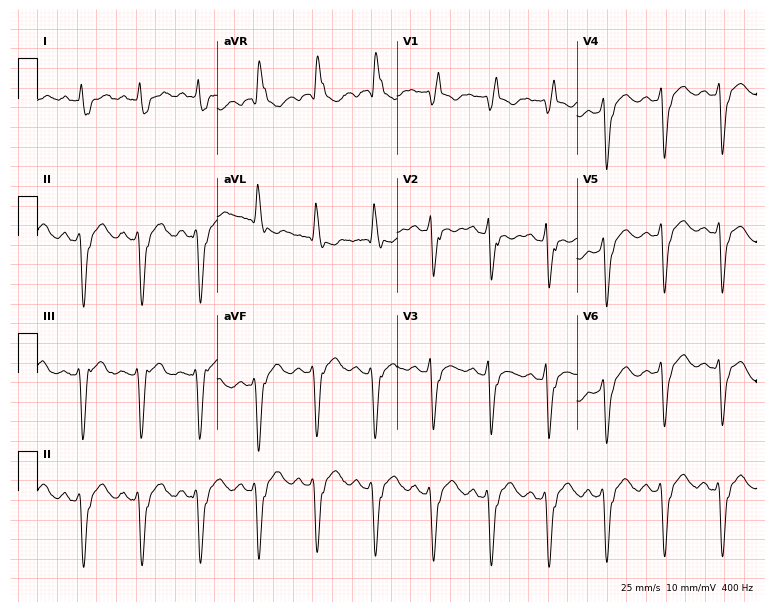
12-lead ECG (7.3-second recording at 400 Hz) from an 82-year-old woman. Findings include right bundle branch block, sinus tachycardia (a sinus rate of 100 beats per minute or more).